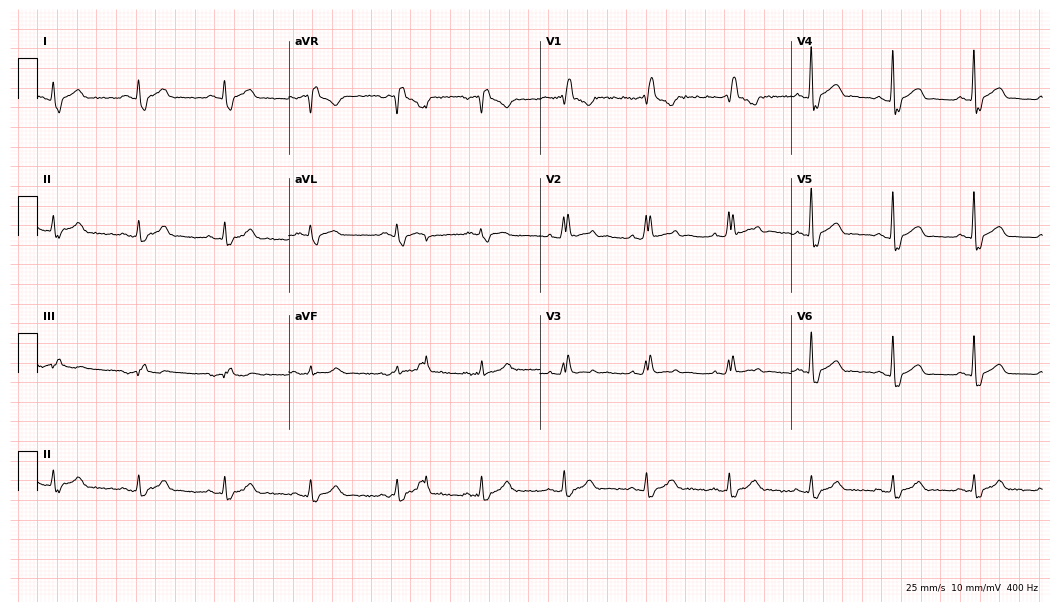
ECG (10.2-second recording at 400 Hz) — a man, 63 years old. Findings include right bundle branch block.